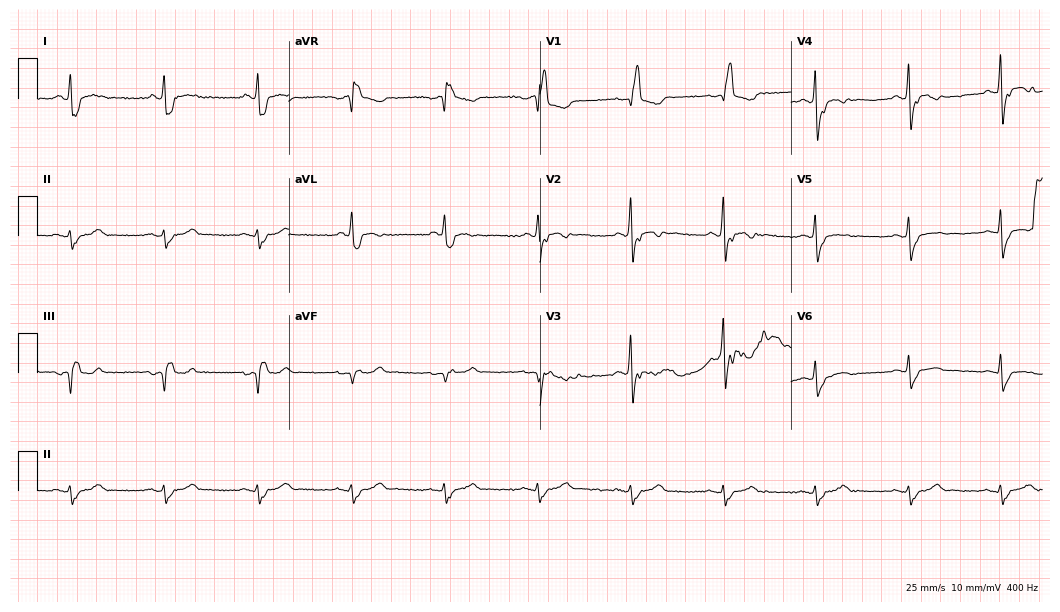
Electrocardiogram (10.2-second recording at 400 Hz), a man, 68 years old. Interpretation includes right bundle branch block.